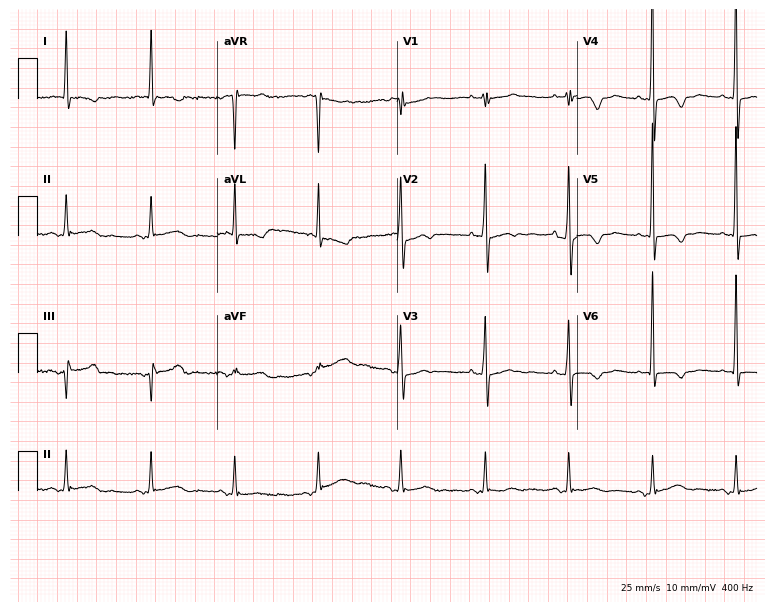
Standard 12-lead ECG recorded from a 73-year-old female patient. None of these six findings is recorded: first-degree AV block, right bundle branch block, left bundle branch block, sinus bradycardia, atrial fibrillation, sinus tachycardia. Other findings, if any, are not listed.